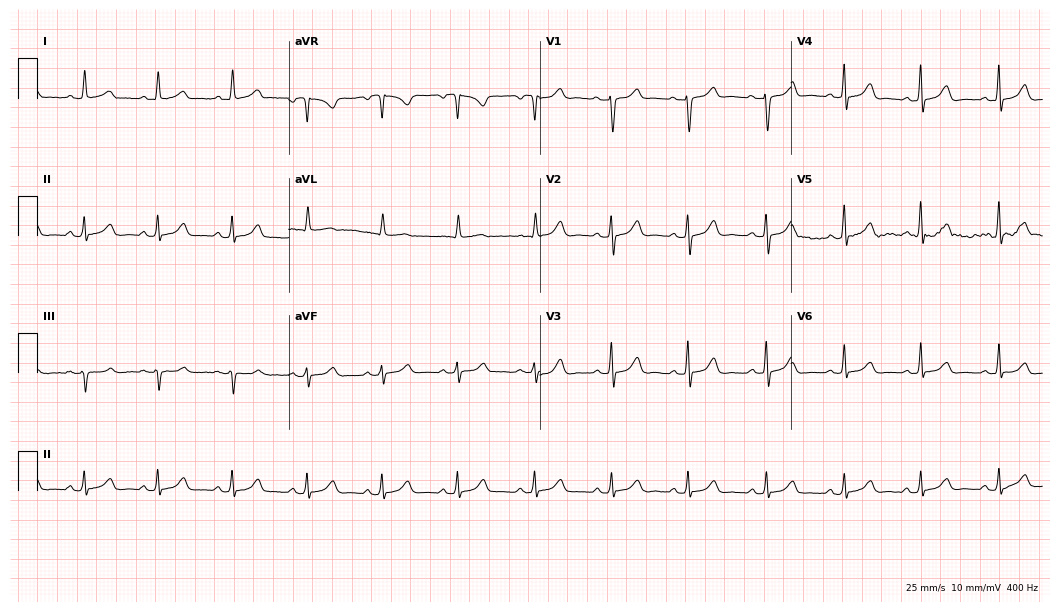
12-lead ECG (10.2-second recording at 400 Hz) from a 56-year-old female. Labelled as a normal ECG.